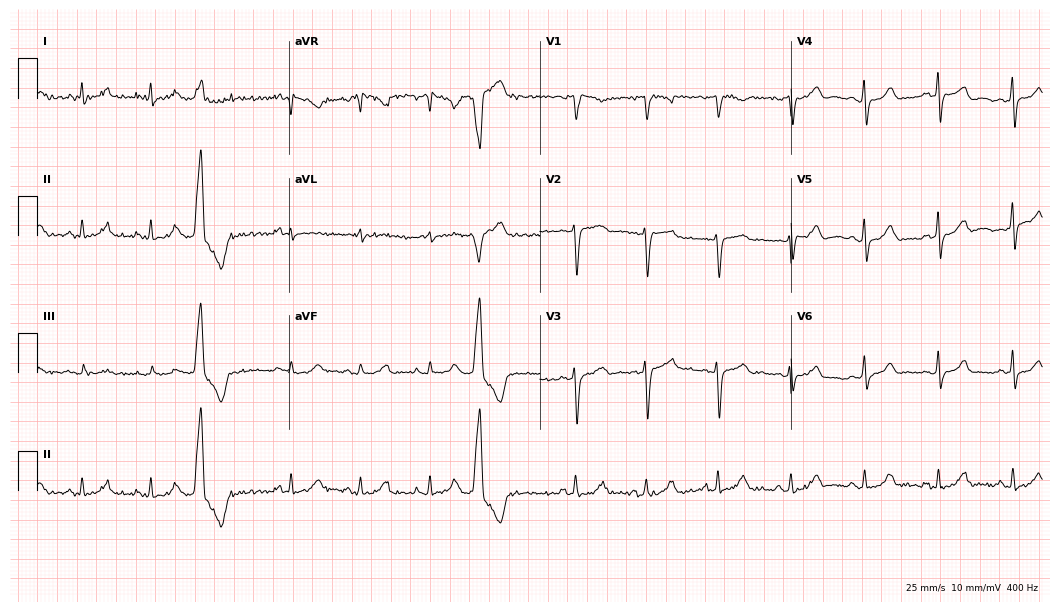
Standard 12-lead ECG recorded from a 63-year-old male (10.2-second recording at 400 Hz). None of these six findings is recorded: first-degree AV block, right bundle branch block, left bundle branch block, sinus bradycardia, atrial fibrillation, sinus tachycardia. Findings outside these six are not listed.